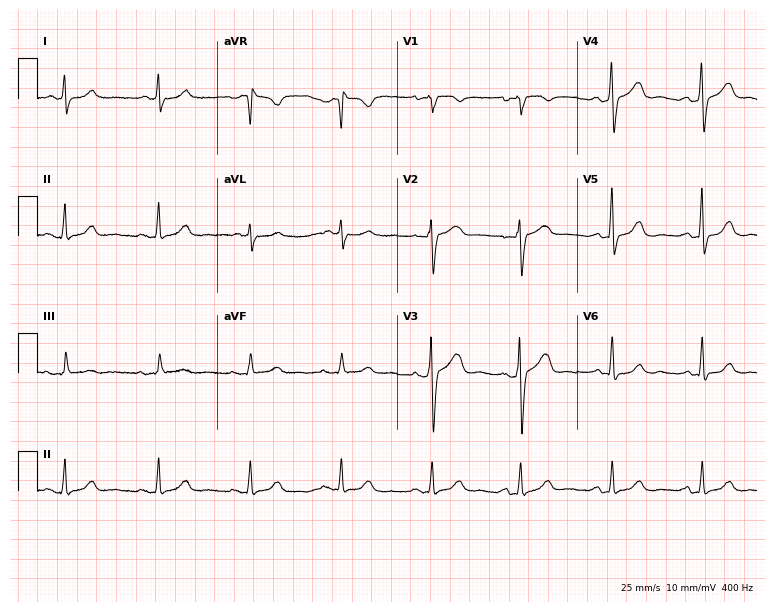
Resting 12-lead electrocardiogram (7.3-second recording at 400 Hz). Patient: a 77-year-old female. Read as a normal ECG.